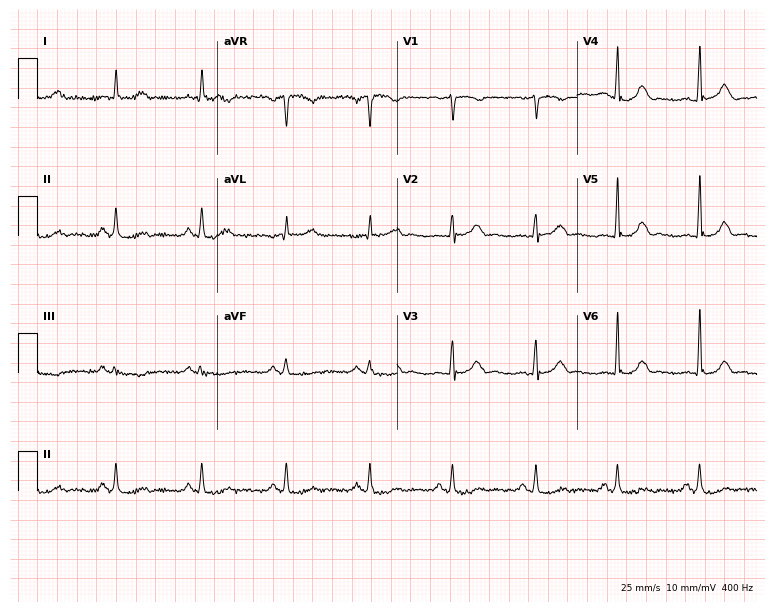
12-lead ECG from a woman, 66 years old. Labelled as a normal ECG.